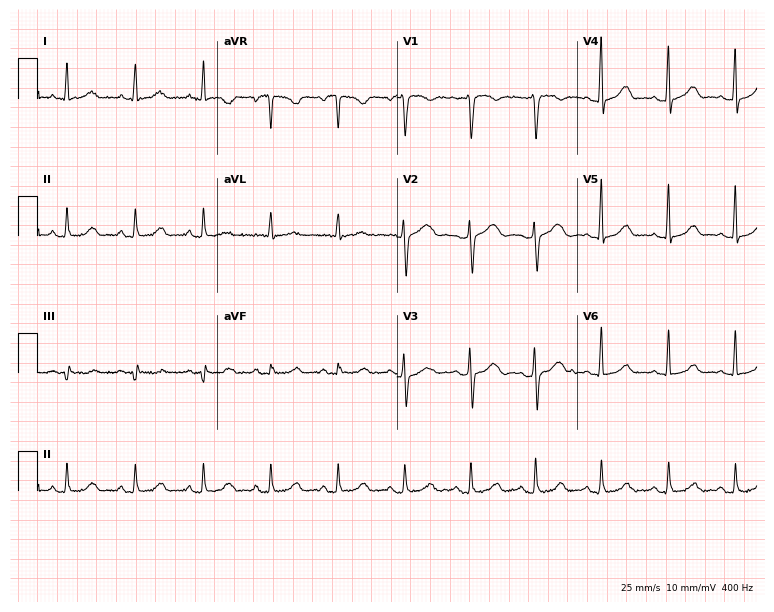
Standard 12-lead ECG recorded from a female, 41 years old (7.3-second recording at 400 Hz). Read as a normal ECG.